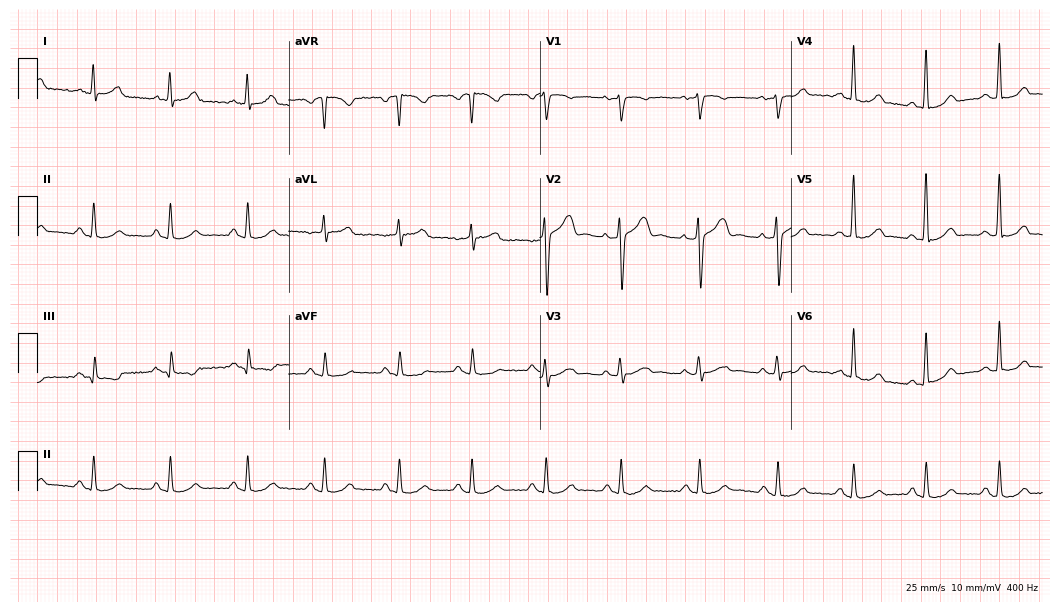
Standard 12-lead ECG recorded from a male, 47 years old. Read as a normal ECG.